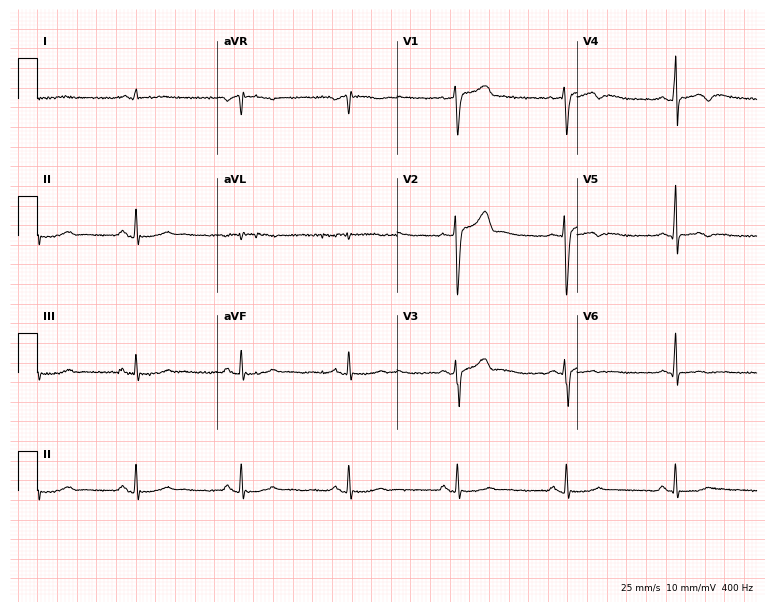
12-lead ECG from a man, 29 years old (7.3-second recording at 400 Hz). No first-degree AV block, right bundle branch block, left bundle branch block, sinus bradycardia, atrial fibrillation or sinus tachycardia recorded for this tracing.